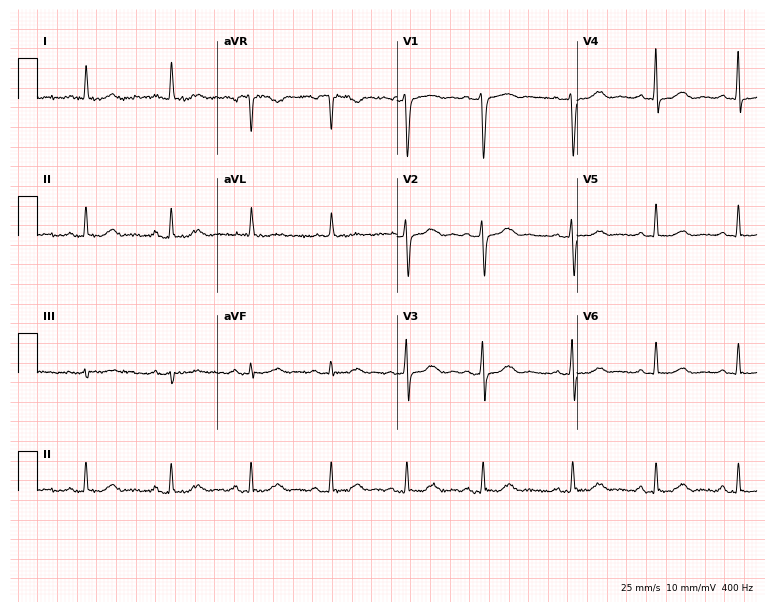
12-lead ECG from a female, 76 years old. Recorded interpretation: within normal limits.